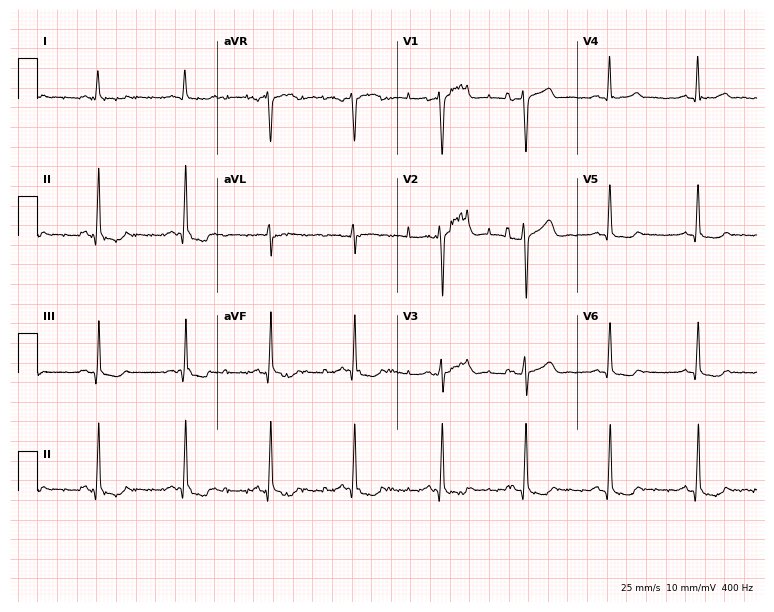
12-lead ECG from a 72-year-old male. Screened for six findings — first-degree AV block, right bundle branch block, left bundle branch block, sinus bradycardia, atrial fibrillation, sinus tachycardia — none is recorded.